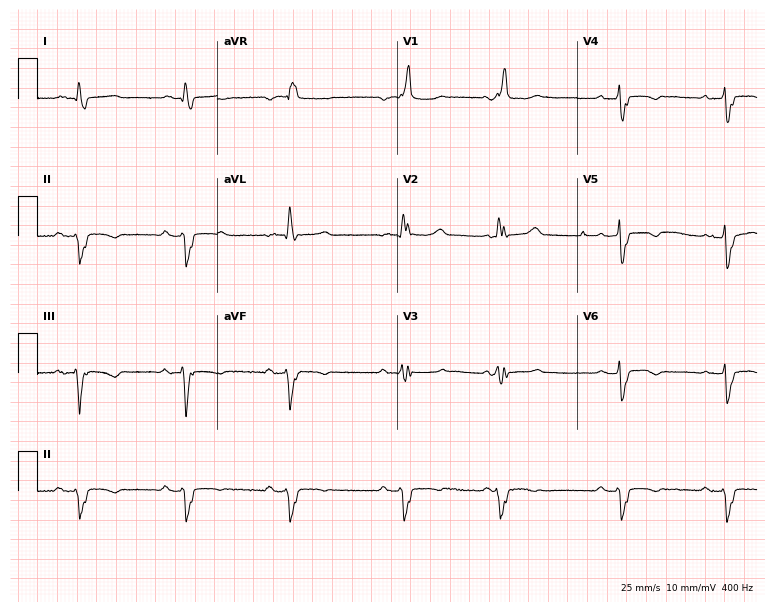
Electrocardiogram, a female patient, 79 years old. Interpretation includes right bundle branch block (RBBB).